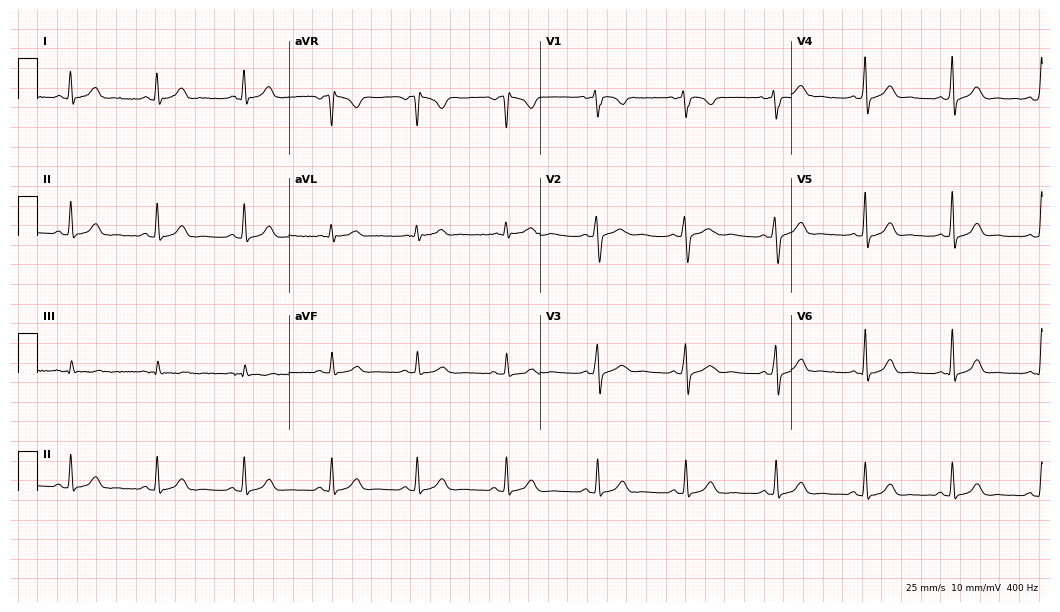
12-lead ECG from a woman, 40 years old. Labelled as a normal ECG.